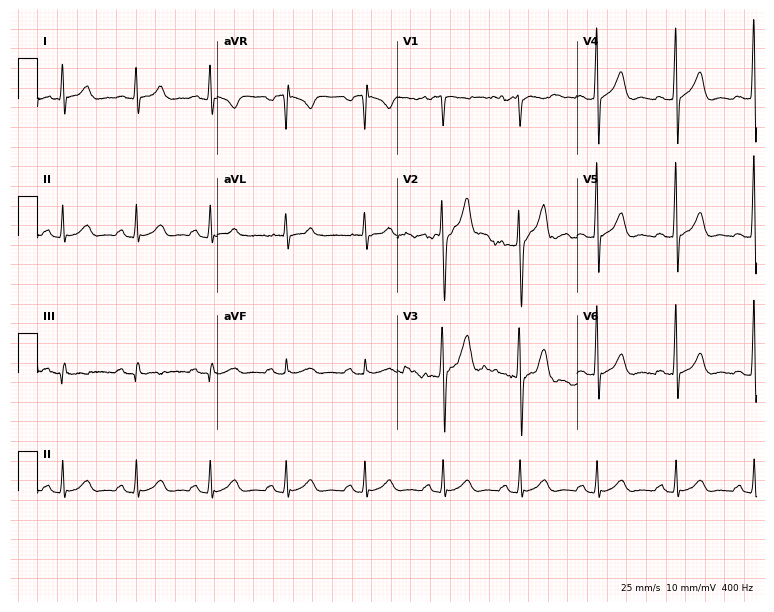
12-lead ECG from a man, 57 years old. Labelled as a normal ECG.